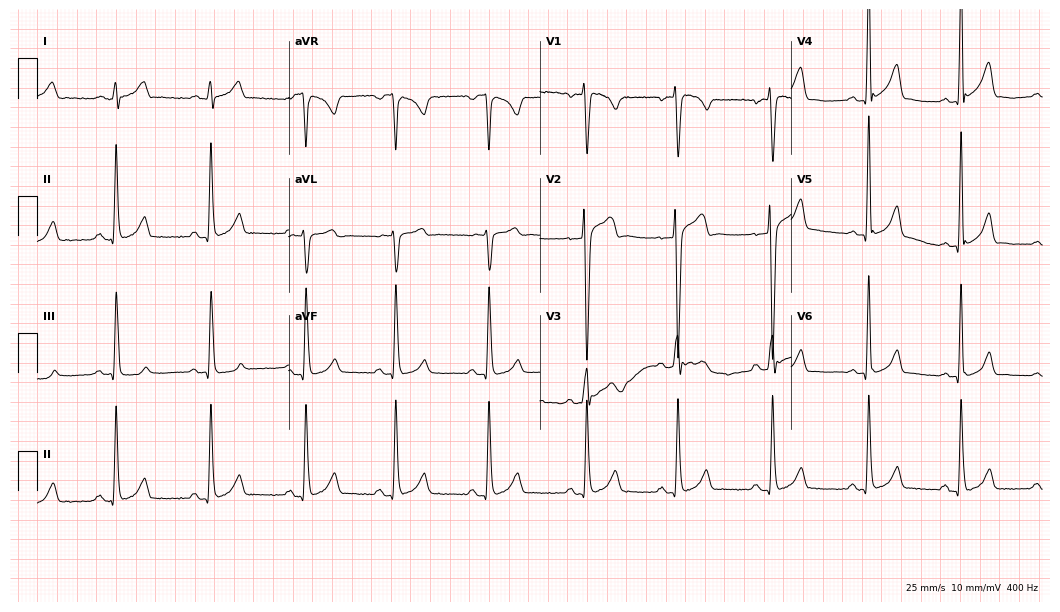
12-lead ECG from a male patient, 28 years old. Screened for six findings — first-degree AV block, right bundle branch block, left bundle branch block, sinus bradycardia, atrial fibrillation, sinus tachycardia — none is recorded. Other findings, if any, are not listed.